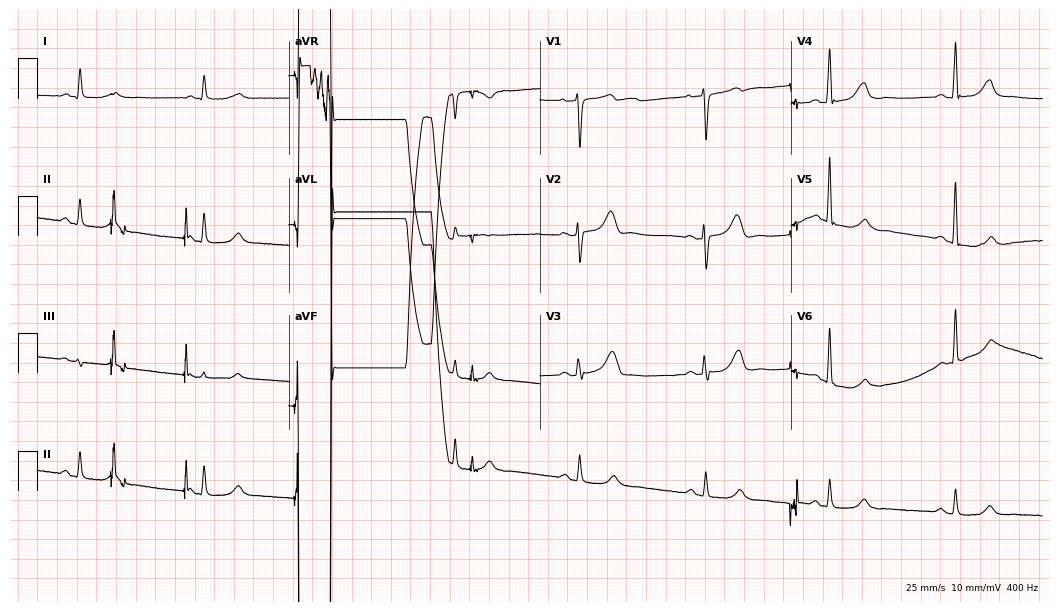
Standard 12-lead ECG recorded from a male patient, 79 years old (10.2-second recording at 400 Hz). The tracing shows sinus bradycardia (a sinus rate of 50 beats per minute or less).